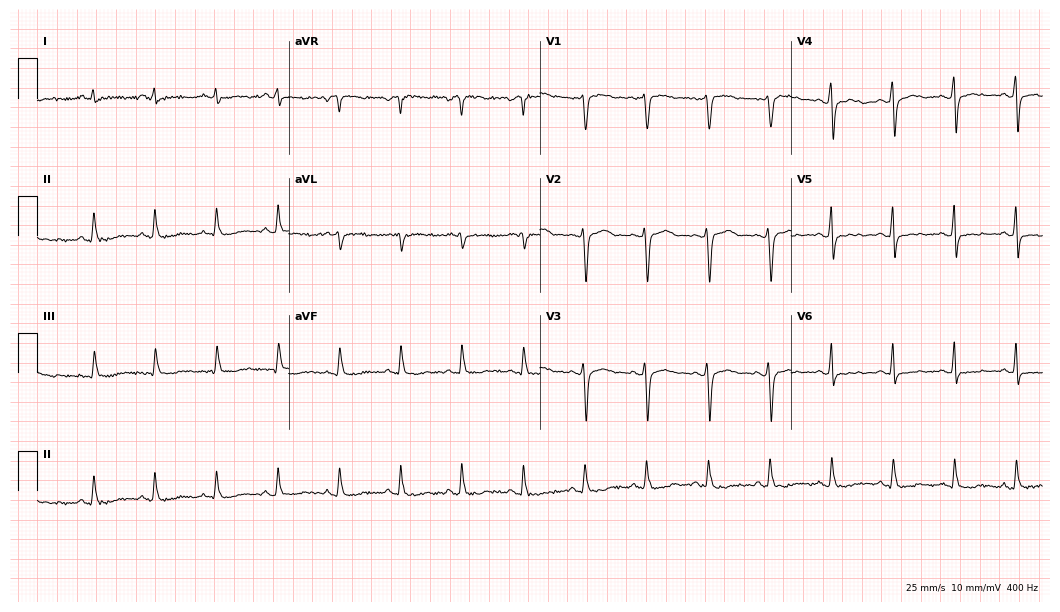
Resting 12-lead electrocardiogram (10.2-second recording at 400 Hz). Patient: a female, 81 years old. None of these six findings is recorded: first-degree AV block, right bundle branch block, left bundle branch block, sinus bradycardia, atrial fibrillation, sinus tachycardia. Findings outside these six are not listed.